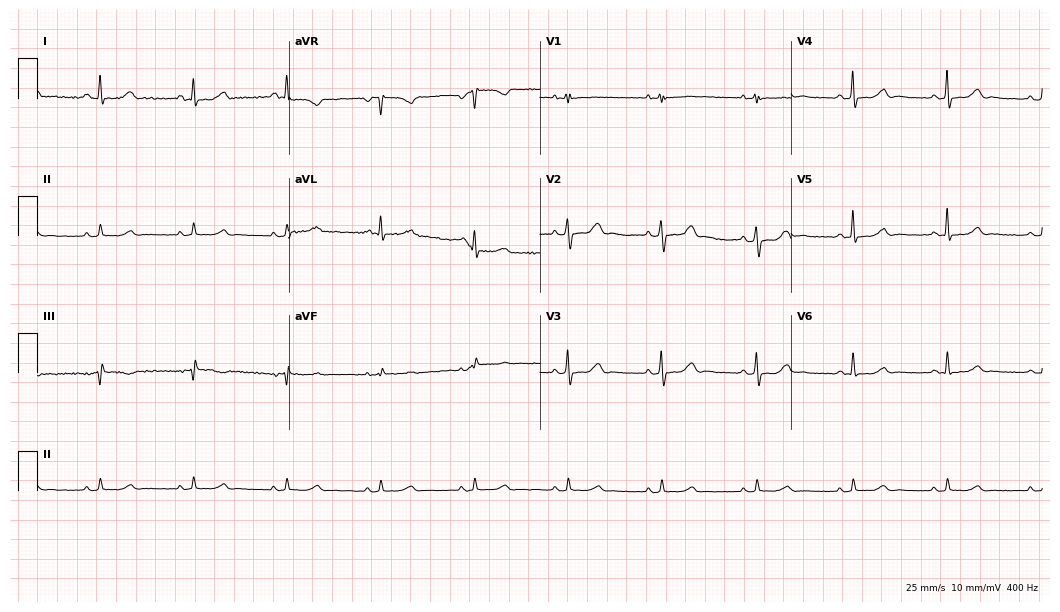
12-lead ECG from a male, 58 years old. Recorded interpretation: within normal limits.